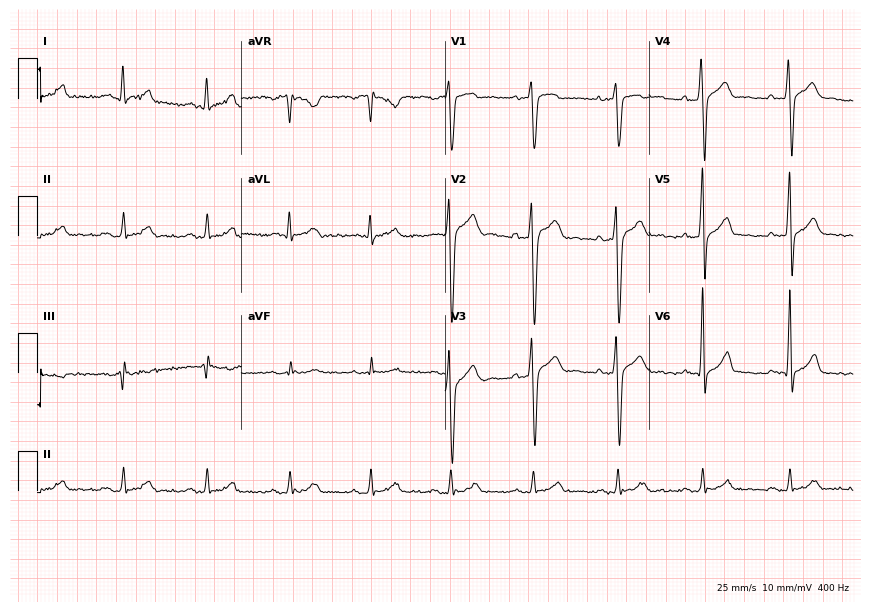
ECG (8.3-second recording at 400 Hz) — a man, 18 years old. Screened for six findings — first-degree AV block, right bundle branch block, left bundle branch block, sinus bradycardia, atrial fibrillation, sinus tachycardia — none is recorded.